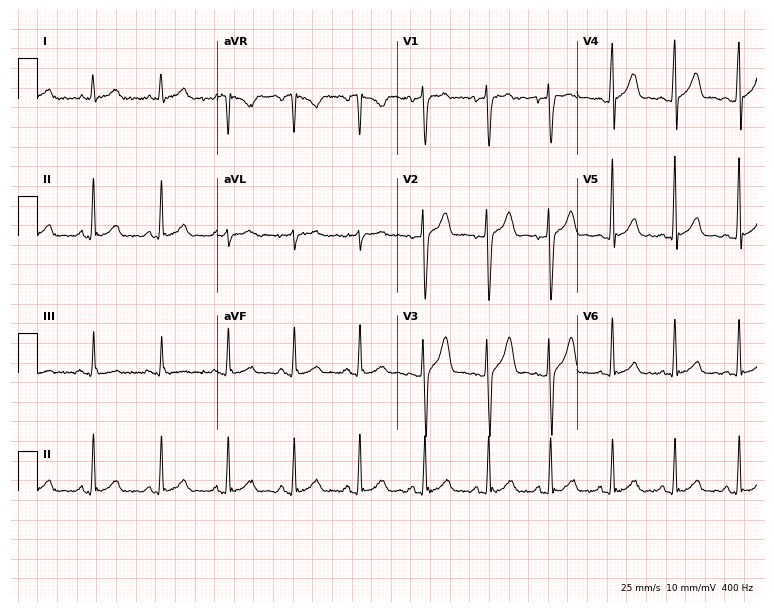
12-lead ECG from a male, 25 years old. Labelled as a normal ECG.